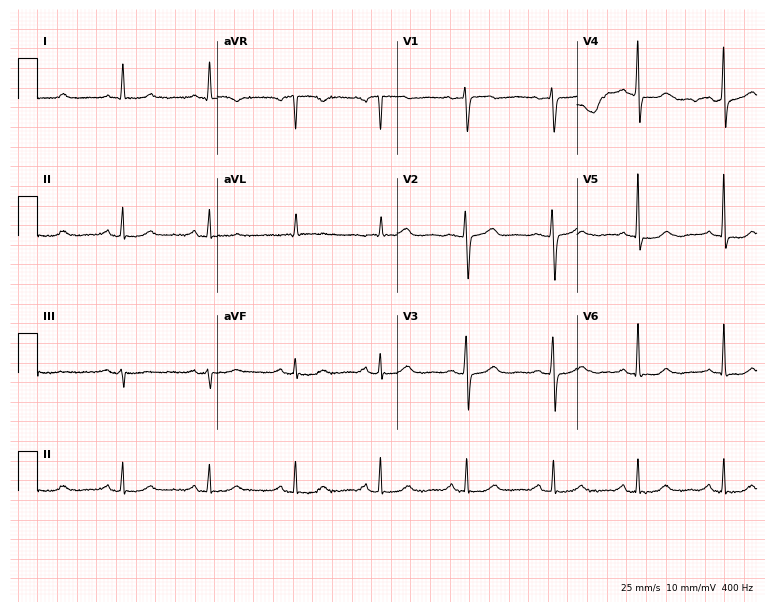
12-lead ECG from a woman, 65 years old. No first-degree AV block, right bundle branch block (RBBB), left bundle branch block (LBBB), sinus bradycardia, atrial fibrillation (AF) or sinus tachycardia recorded for this tracing. Other findings, if any, are not listed.